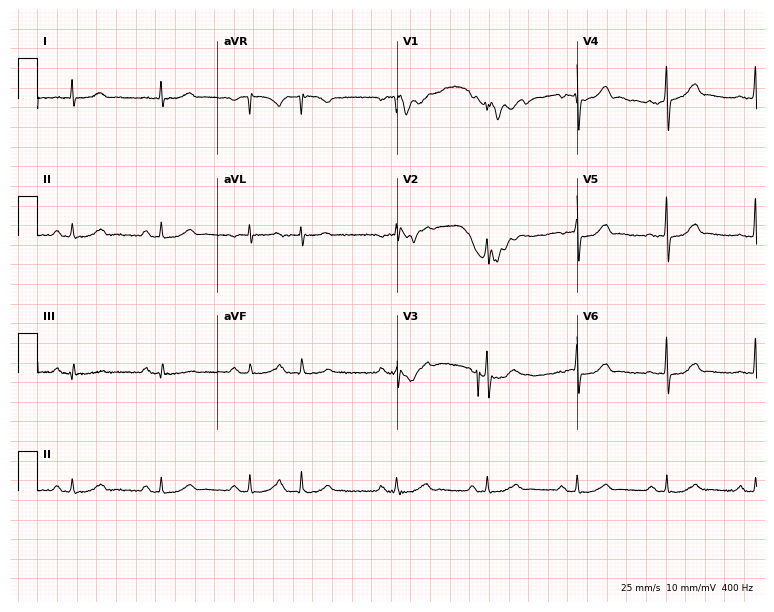
ECG (7.3-second recording at 400 Hz) — a male patient, 81 years old. Screened for six findings — first-degree AV block, right bundle branch block, left bundle branch block, sinus bradycardia, atrial fibrillation, sinus tachycardia — none is recorded. Findings outside these six are not listed.